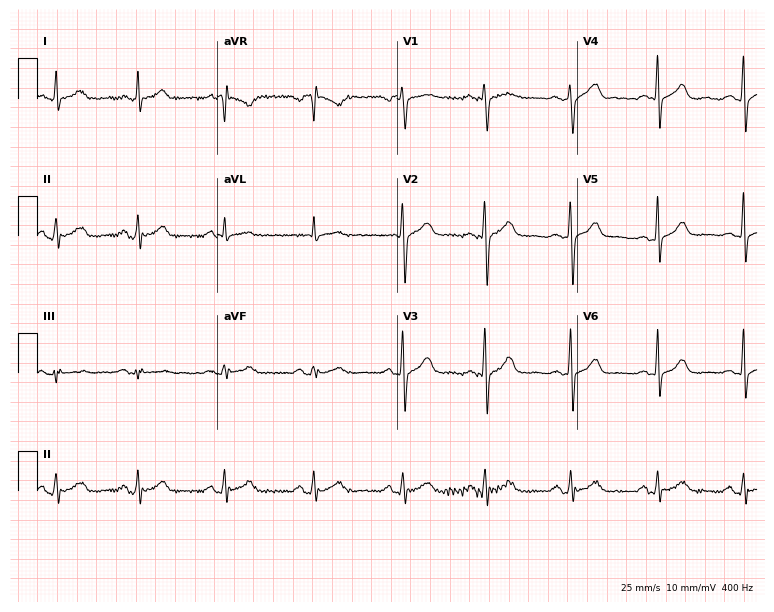
Resting 12-lead electrocardiogram. Patient: a 53-year-old woman. None of these six findings is recorded: first-degree AV block, right bundle branch block, left bundle branch block, sinus bradycardia, atrial fibrillation, sinus tachycardia.